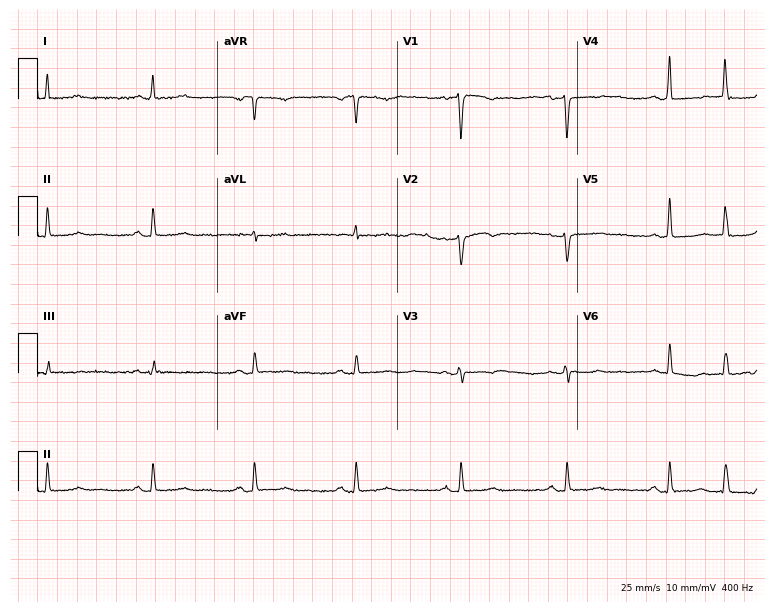
Standard 12-lead ECG recorded from a 41-year-old female. None of these six findings is recorded: first-degree AV block, right bundle branch block (RBBB), left bundle branch block (LBBB), sinus bradycardia, atrial fibrillation (AF), sinus tachycardia. Findings outside these six are not listed.